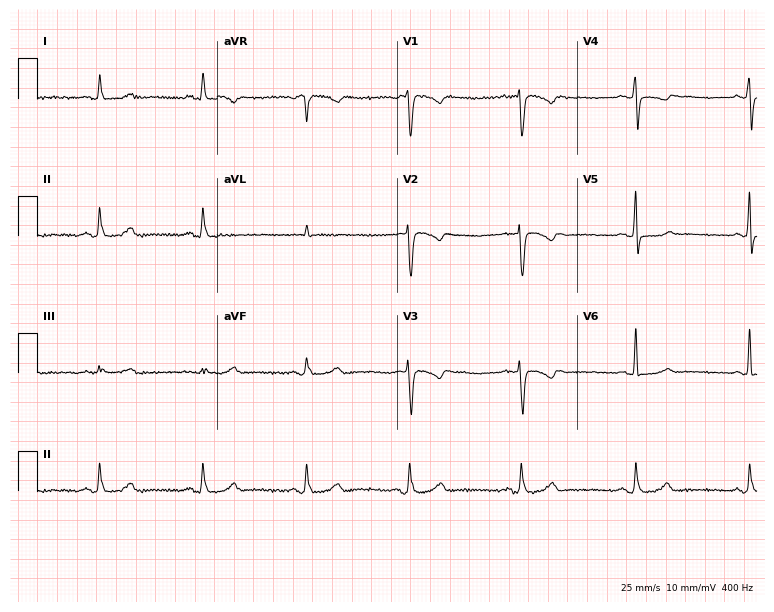
Resting 12-lead electrocardiogram. Patient: a 45-year-old female. None of these six findings is recorded: first-degree AV block, right bundle branch block, left bundle branch block, sinus bradycardia, atrial fibrillation, sinus tachycardia.